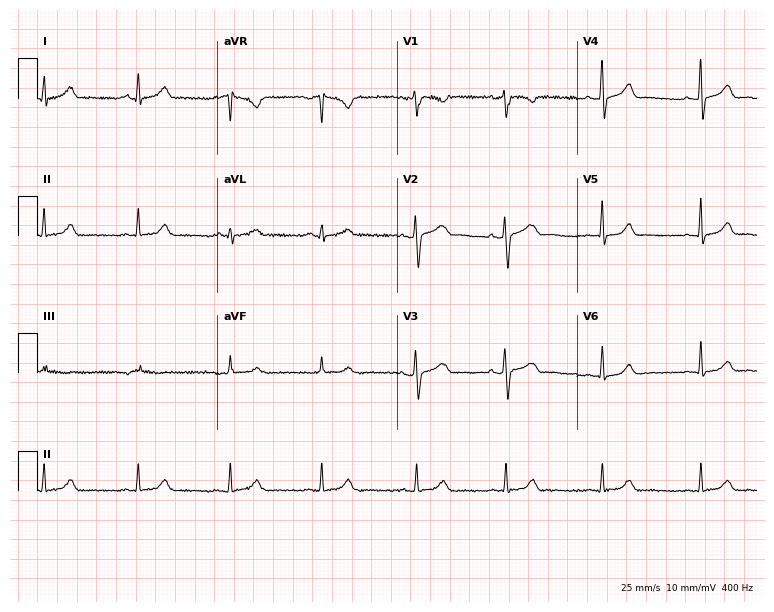
Standard 12-lead ECG recorded from a female patient, 44 years old (7.3-second recording at 400 Hz). Read as a normal ECG.